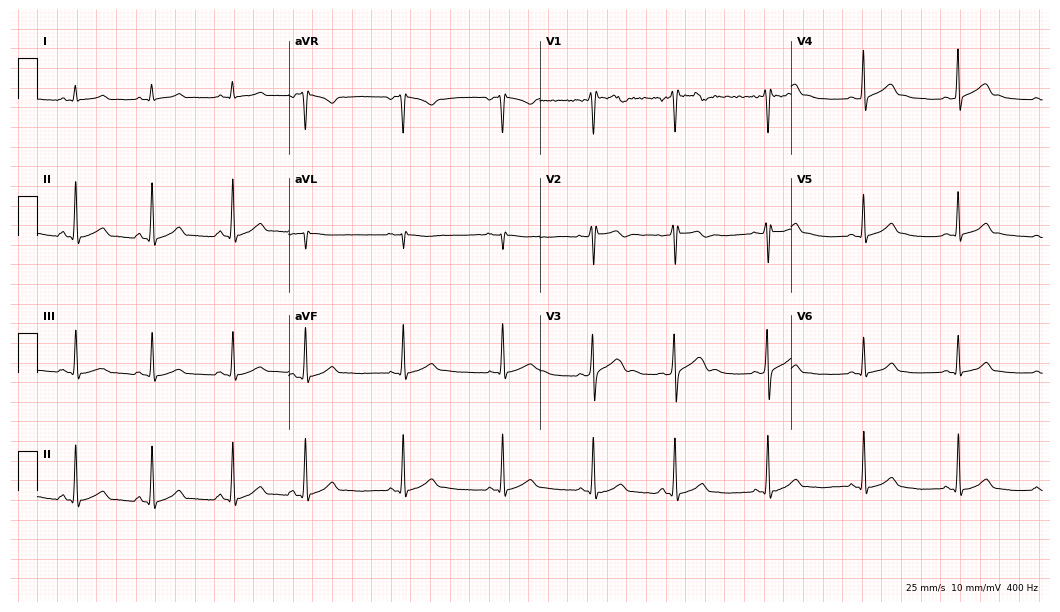
ECG (10.2-second recording at 400 Hz) — a male patient, 20 years old. Labelled as a normal ECG.